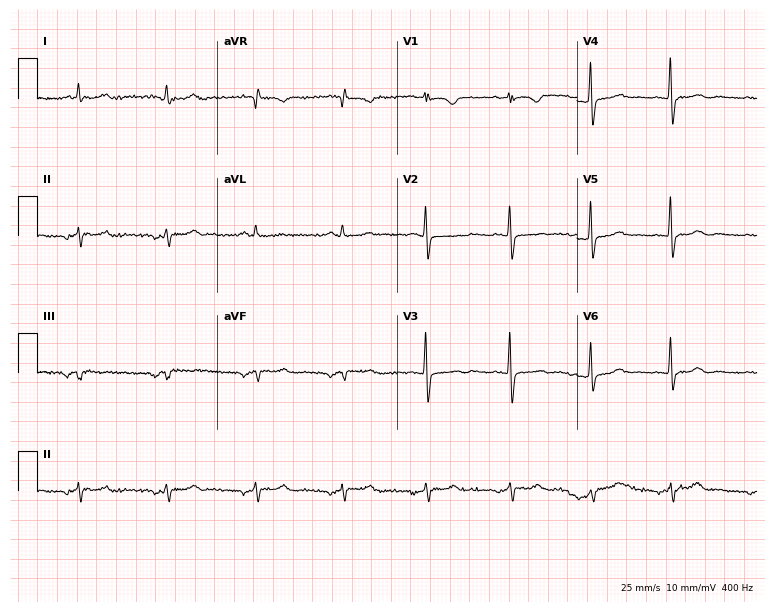
12-lead ECG (7.3-second recording at 400 Hz) from a female, 73 years old. Screened for six findings — first-degree AV block, right bundle branch block, left bundle branch block, sinus bradycardia, atrial fibrillation, sinus tachycardia — none is recorded.